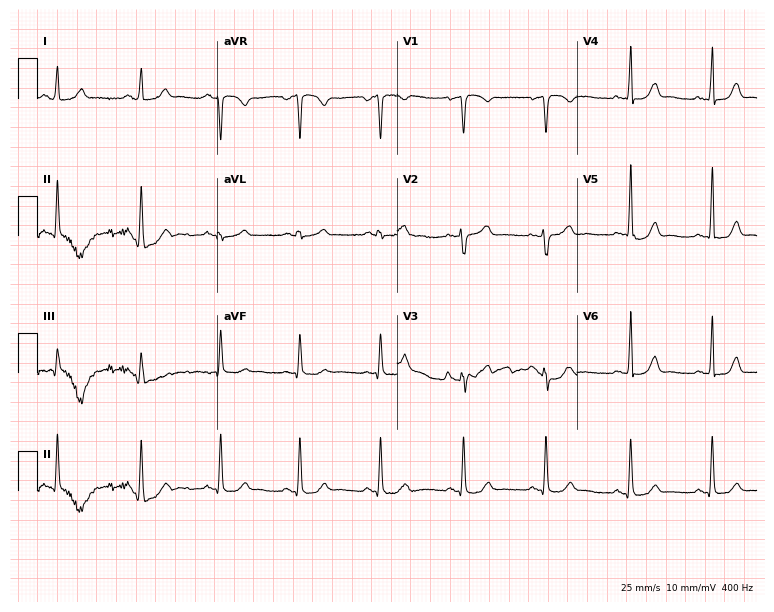
ECG (7.3-second recording at 400 Hz) — a 37-year-old woman. Labelled as a normal ECG.